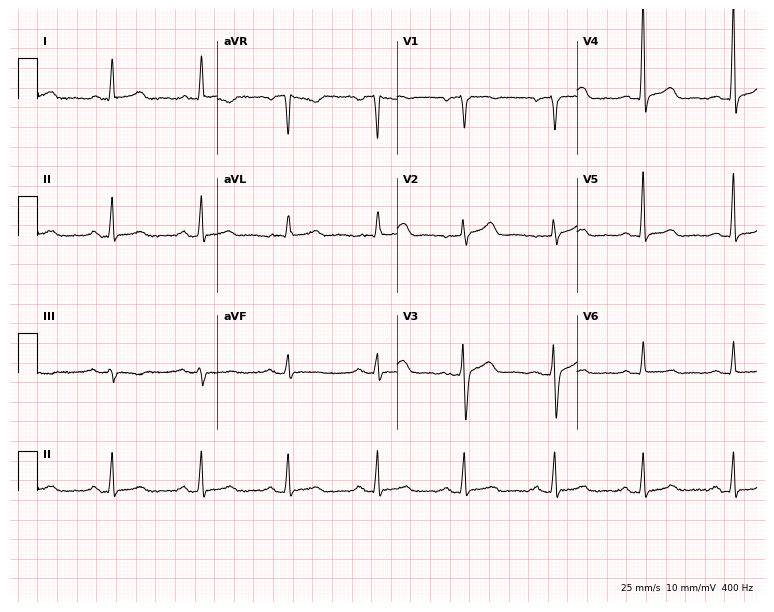
Resting 12-lead electrocardiogram (7.3-second recording at 400 Hz). Patient: a 46-year-old man. Read as a normal ECG.